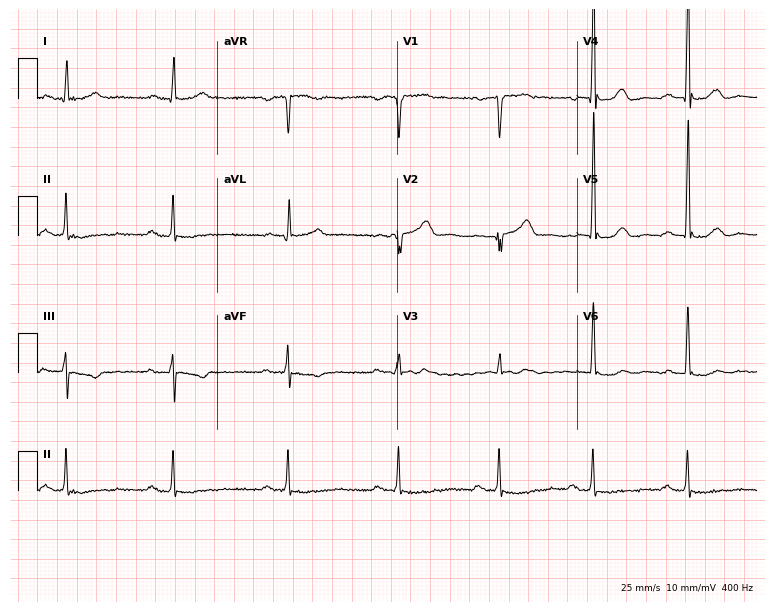
Standard 12-lead ECG recorded from a 56-year-old male. None of these six findings is recorded: first-degree AV block, right bundle branch block, left bundle branch block, sinus bradycardia, atrial fibrillation, sinus tachycardia. Other findings, if any, are not listed.